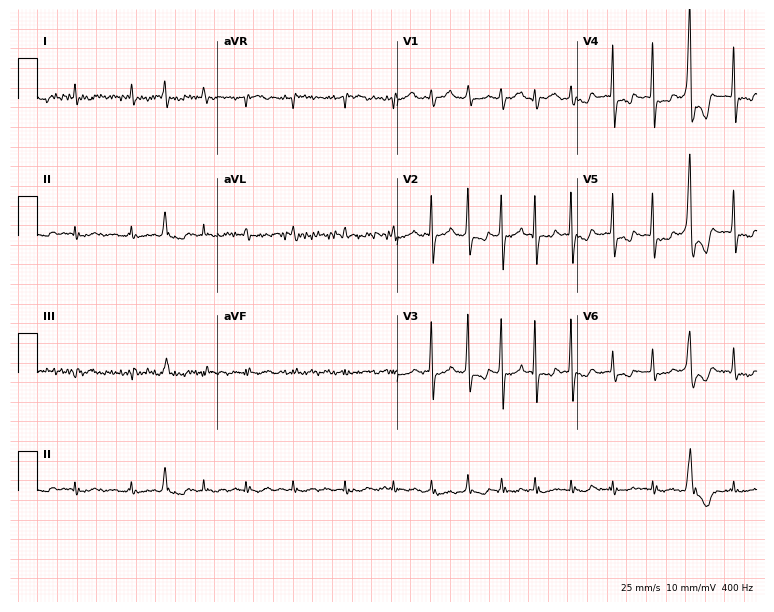
12-lead ECG from a man, 81 years old (7.3-second recording at 400 Hz). Shows atrial fibrillation.